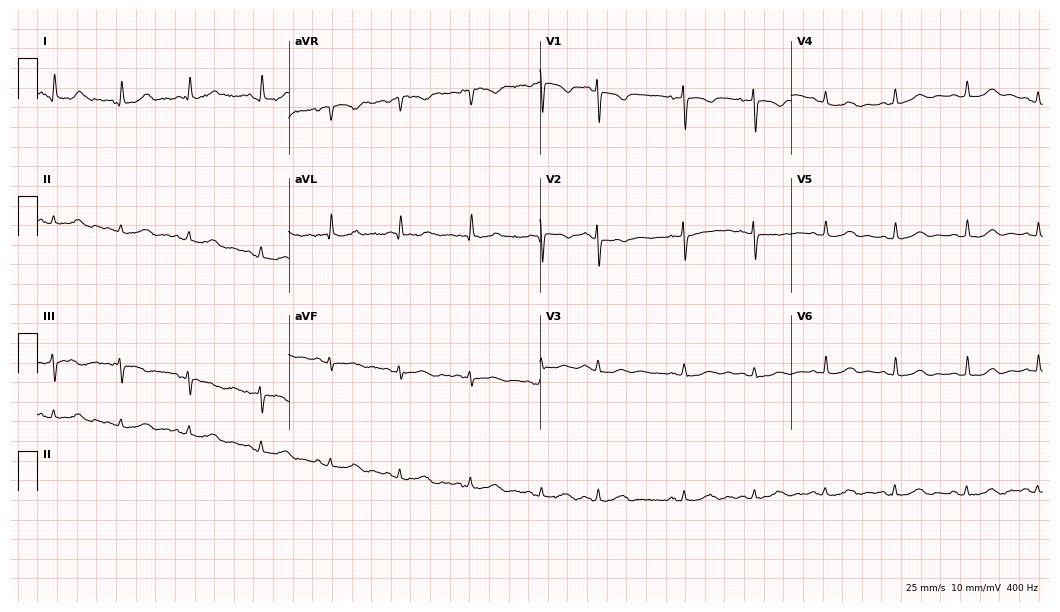
Electrocardiogram, a female patient, 78 years old. Of the six screened findings (first-degree AV block, right bundle branch block, left bundle branch block, sinus bradycardia, atrial fibrillation, sinus tachycardia), none is recorded. Findings outside these six are not listed.